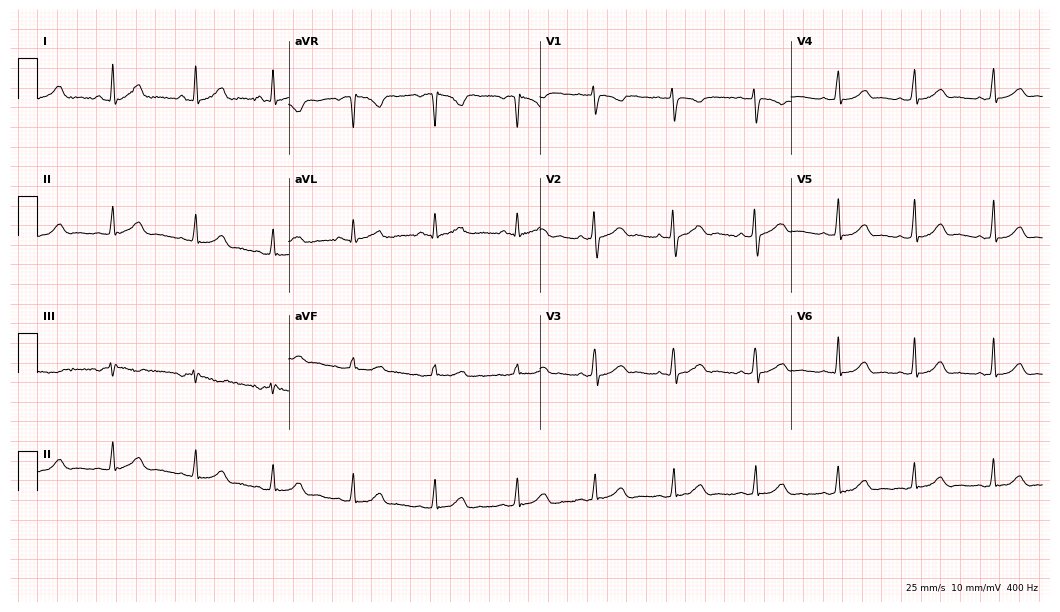
12-lead ECG (10.2-second recording at 400 Hz) from a 31-year-old female patient. Screened for six findings — first-degree AV block, right bundle branch block, left bundle branch block, sinus bradycardia, atrial fibrillation, sinus tachycardia — none is recorded. Only these six findings were labelled.